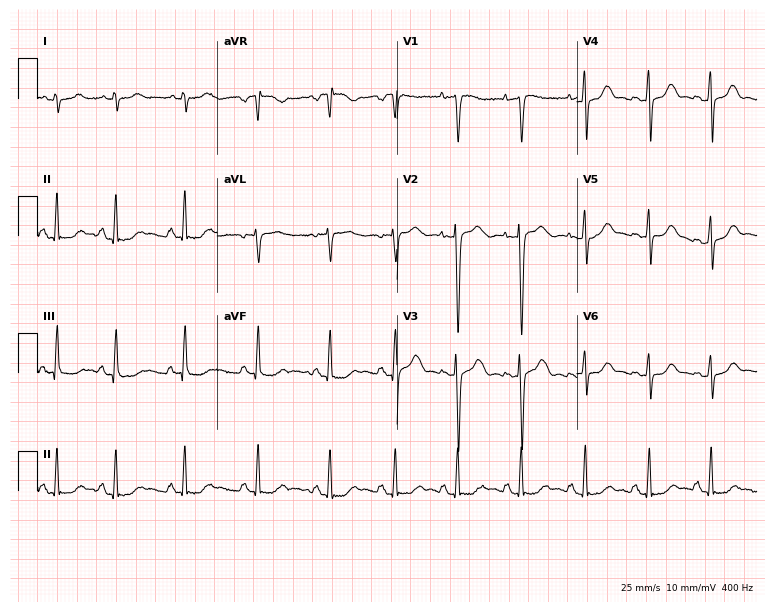
Resting 12-lead electrocardiogram. Patient: a 24-year-old female. None of these six findings is recorded: first-degree AV block, right bundle branch block, left bundle branch block, sinus bradycardia, atrial fibrillation, sinus tachycardia. Other findings, if any, are not listed.